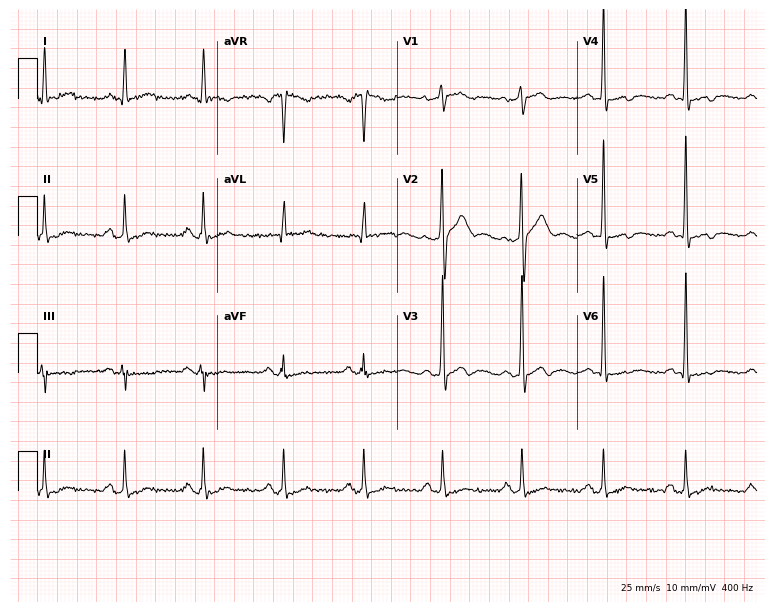
12-lead ECG from a male, 46 years old. Labelled as a normal ECG.